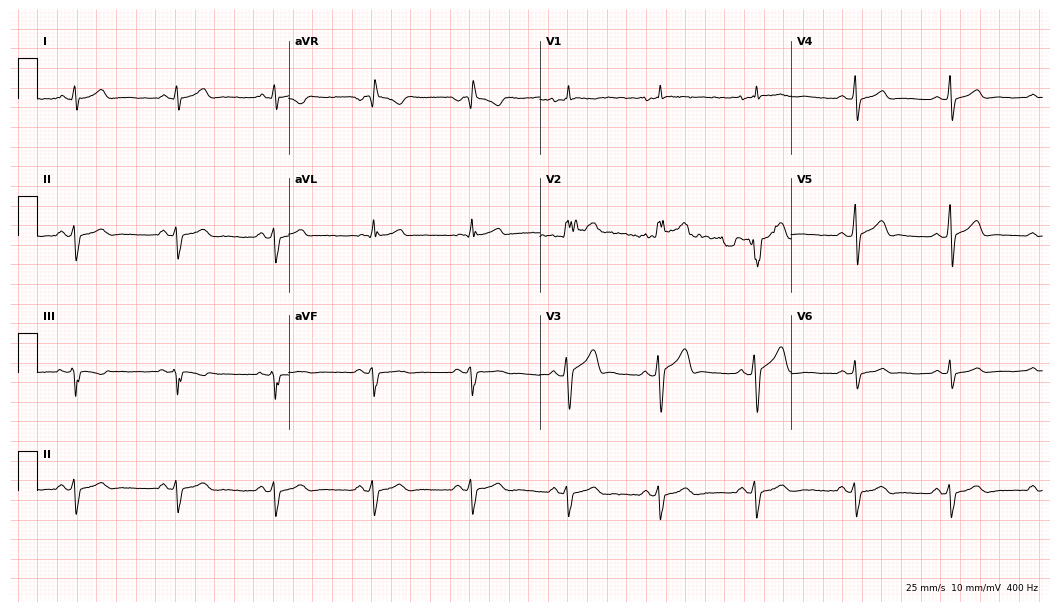
Electrocardiogram, a 21-year-old male patient. Of the six screened findings (first-degree AV block, right bundle branch block, left bundle branch block, sinus bradycardia, atrial fibrillation, sinus tachycardia), none is recorded. Other findings, if any, are not listed.